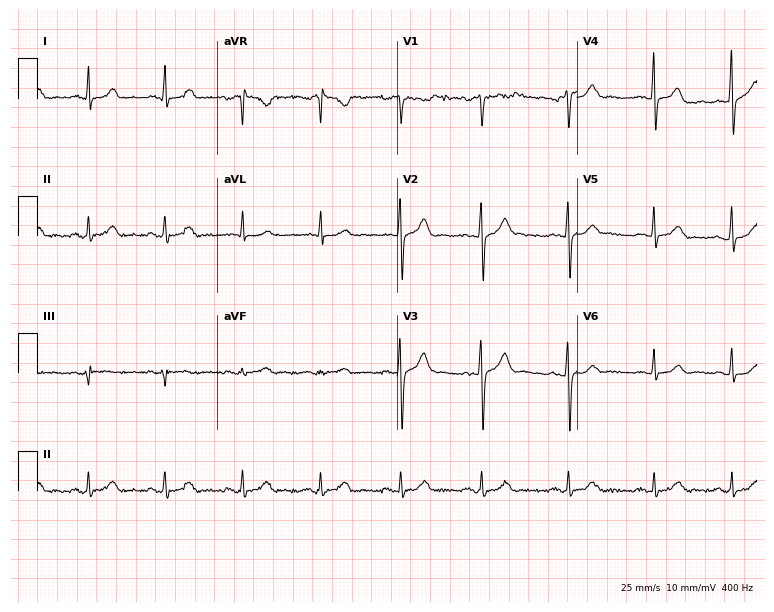
Electrocardiogram, a male patient, 37 years old. Overall reading on record: normal ECG.